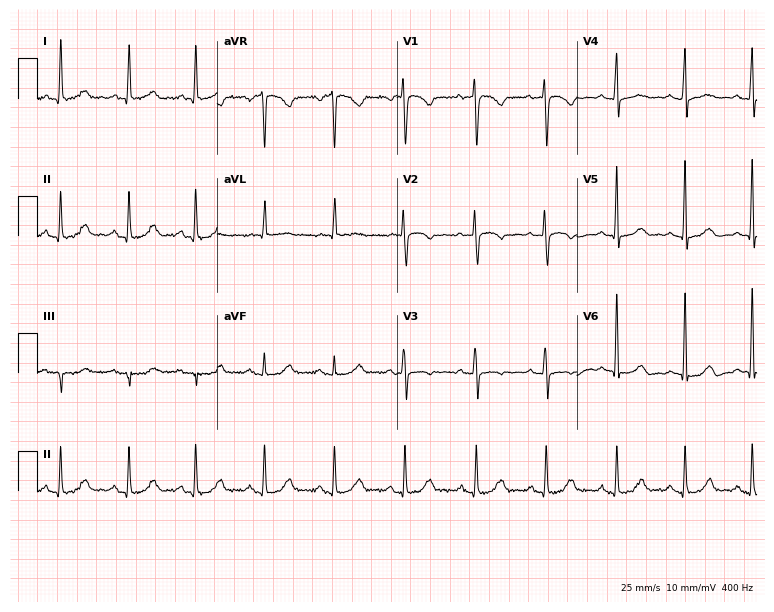
ECG — a female, 75 years old. Screened for six findings — first-degree AV block, right bundle branch block, left bundle branch block, sinus bradycardia, atrial fibrillation, sinus tachycardia — none is recorded.